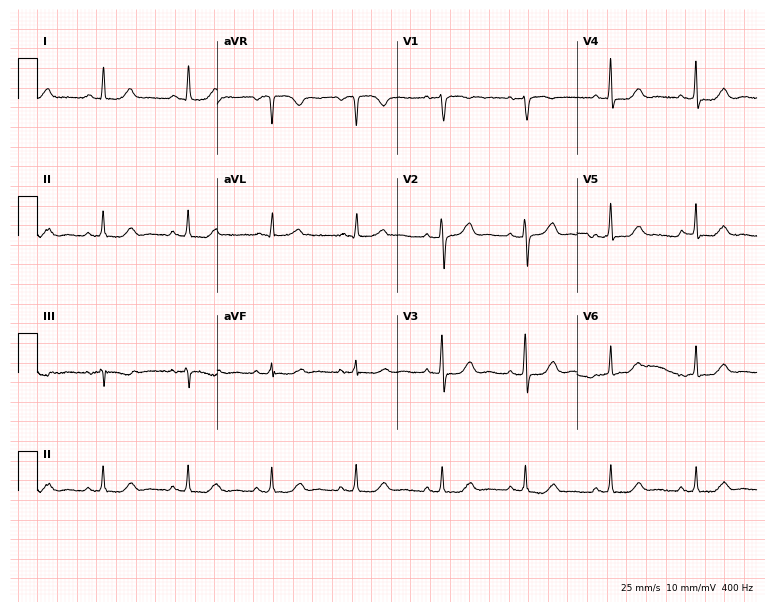
ECG (7.3-second recording at 400 Hz) — a 47-year-old woman. Screened for six findings — first-degree AV block, right bundle branch block, left bundle branch block, sinus bradycardia, atrial fibrillation, sinus tachycardia — none is recorded.